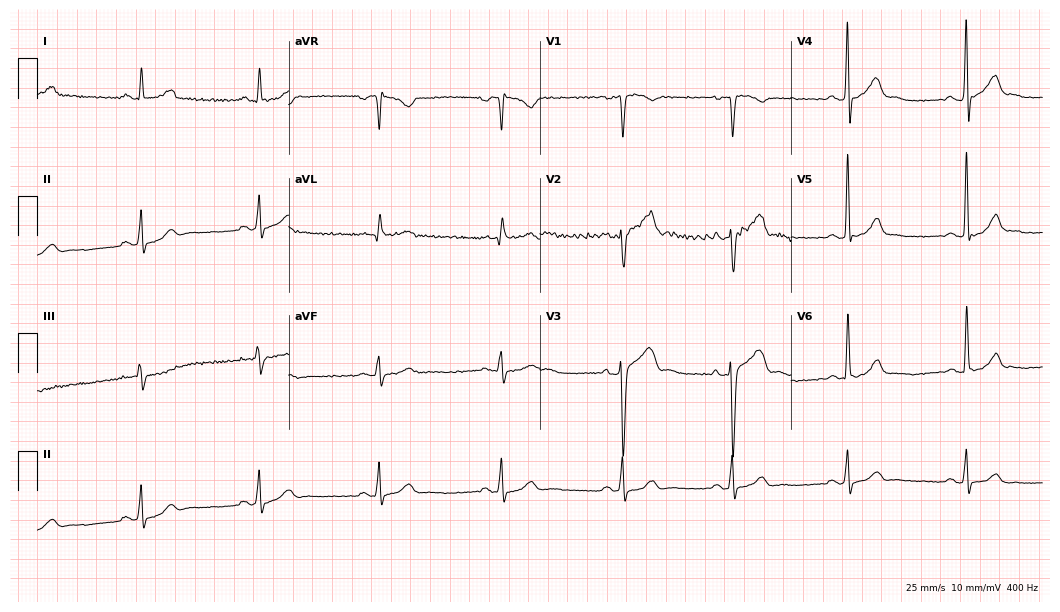
12-lead ECG from a 46-year-old male patient. Shows sinus bradycardia (a sinus rate of 50 beats per minute or less).